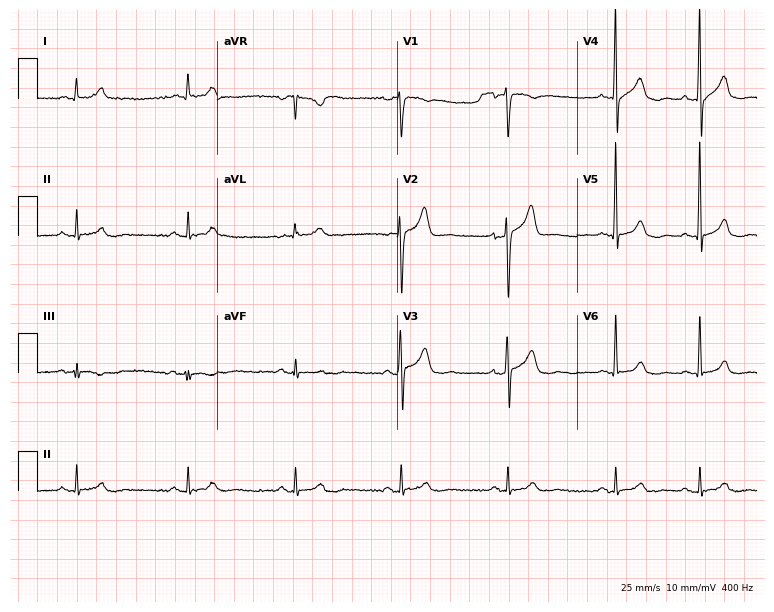
12-lead ECG from a 71-year-old man (7.3-second recording at 400 Hz). No first-degree AV block, right bundle branch block, left bundle branch block, sinus bradycardia, atrial fibrillation or sinus tachycardia recorded for this tracing. Only these six findings were labelled.